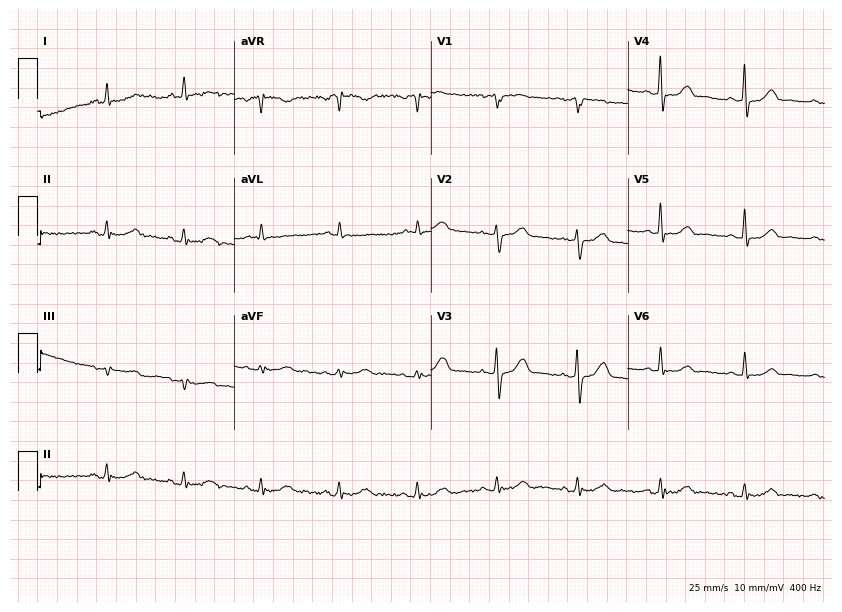
Standard 12-lead ECG recorded from a female, 76 years old (8-second recording at 400 Hz). None of these six findings is recorded: first-degree AV block, right bundle branch block (RBBB), left bundle branch block (LBBB), sinus bradycardia, atrial fibrillation (AF), sinus tachycardia. Only these six findings were labelled.